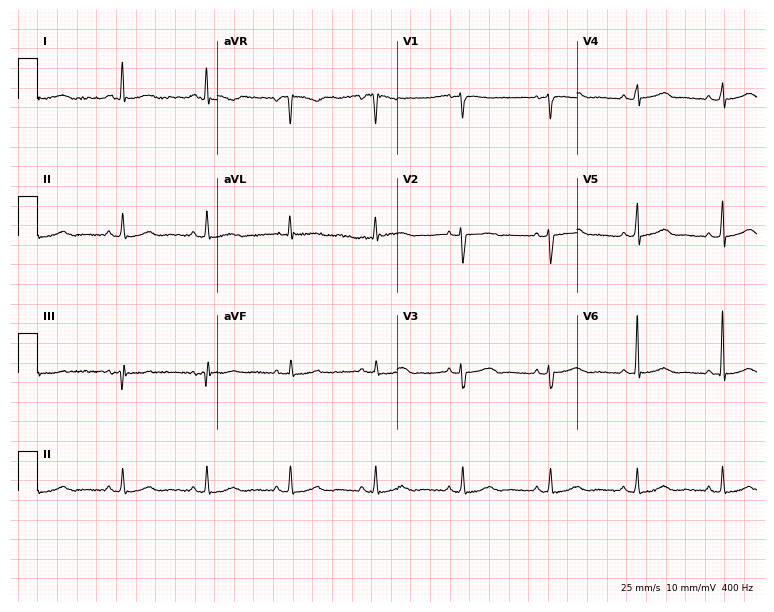
Resting 12-lead electrocardiogram. Patient: a 56-year-old female. Read as a normal ECG.